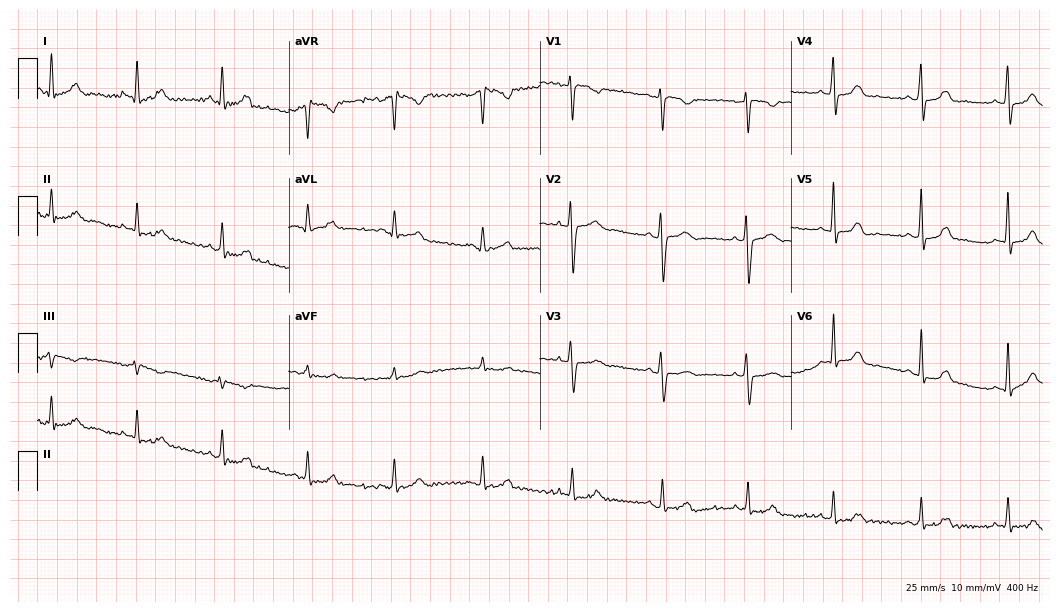
Electrocardiogram (10.2-second recording at 400 Hz), a woman, 39 years old. Overall reading on record: normal ECG.